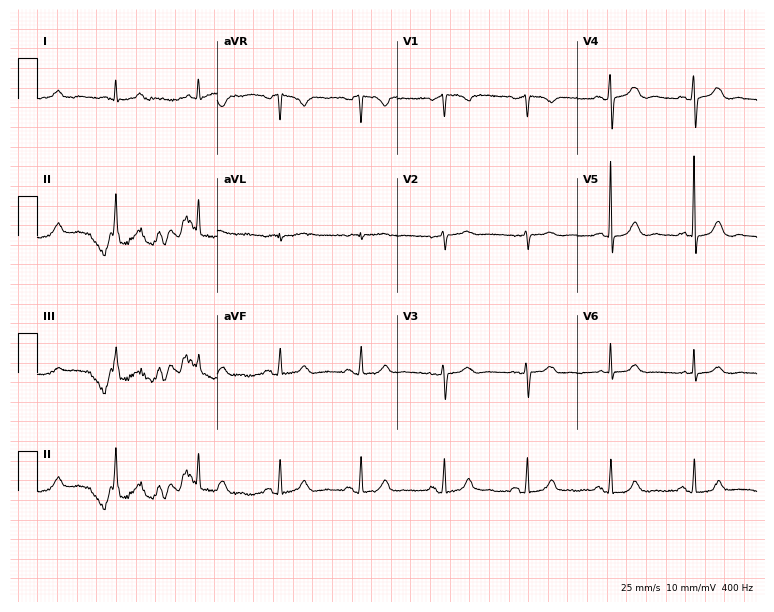
Electrocardiogram (7.3-second recording at 400 Hz), a 78-year-old female patient. Overall reading on record: normal ECG.